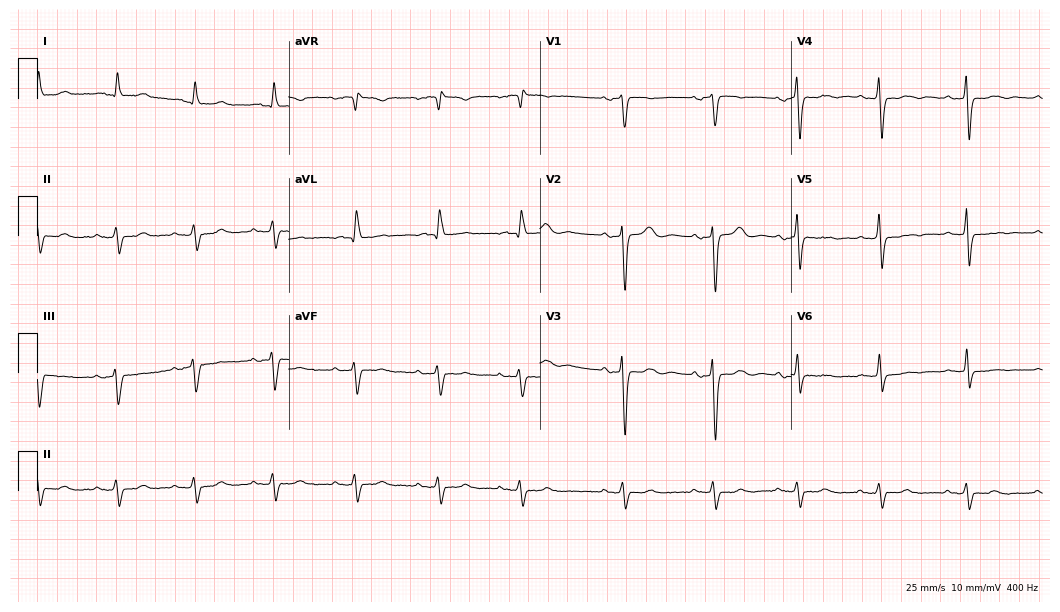
Resting 12-lead electrocardiogram (10.2-second recording at 400 Hz). Patient: a woman, 73 years old. None of these six findings is recorded: first-degree AV block, right bundle branch block, left bundle branch block, sinus bradycardia, atrial fibrillation, sinus tachycardia.